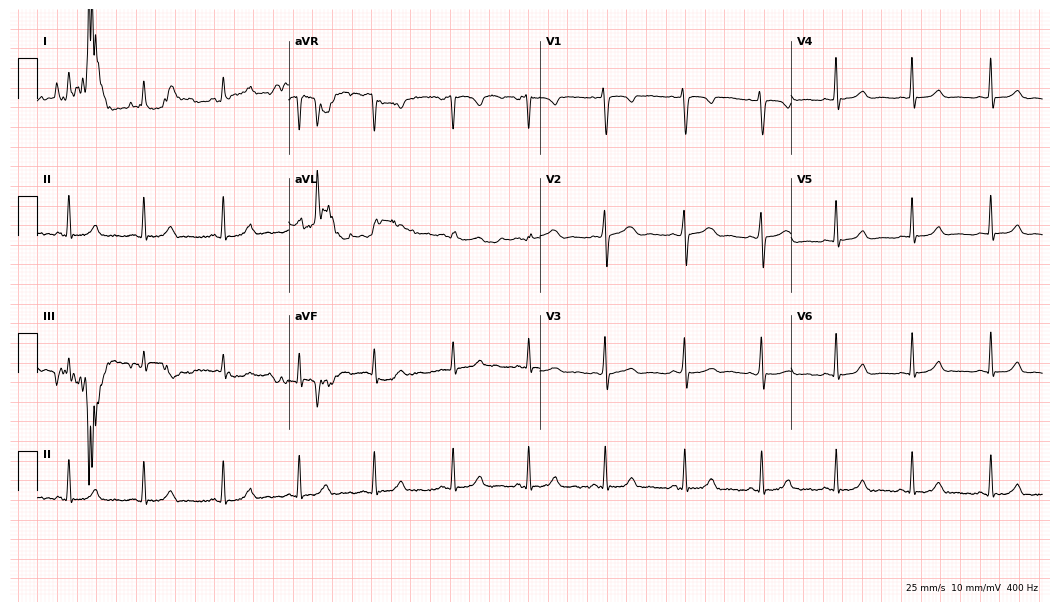
Electrocardiogram (10.2-second recording at 400 Hz), a 22-year-old female. Overall reading on record: normal ECG.